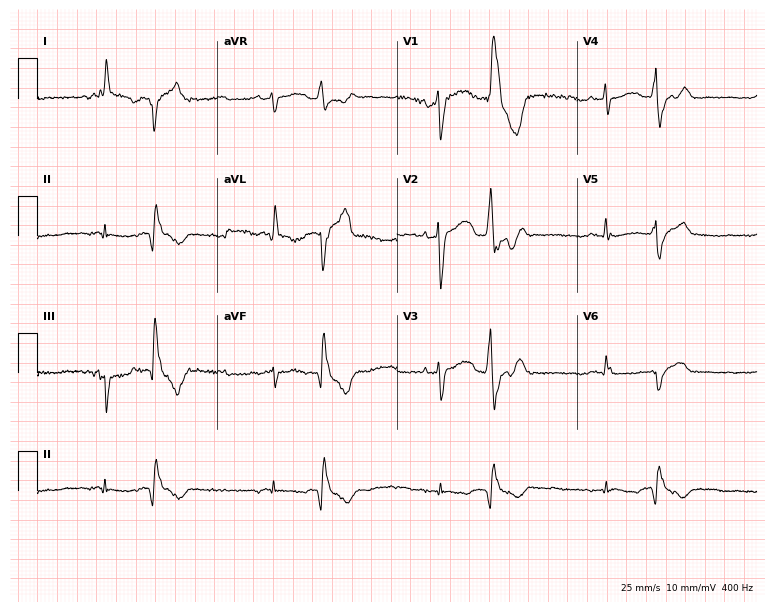
Standard 12-lead ECG recorded from a male, 47 years old. None of these six findings is recorded: first-degree AV block, right bundle branch block (RBBB), left bundle branch block (LBBB), sinus bradycardia, atrial fibrillation (AF), sinus tachycardia. Findings outside these six are not listed.